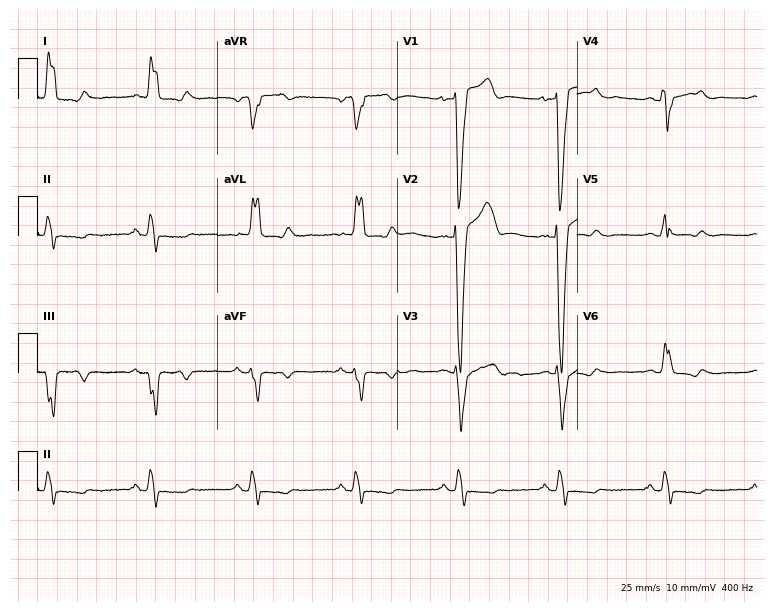
12-lead ECG (7.3-second recording at 400 Hz) from a male patient, 69 years old. Findings include left bundle branch block.